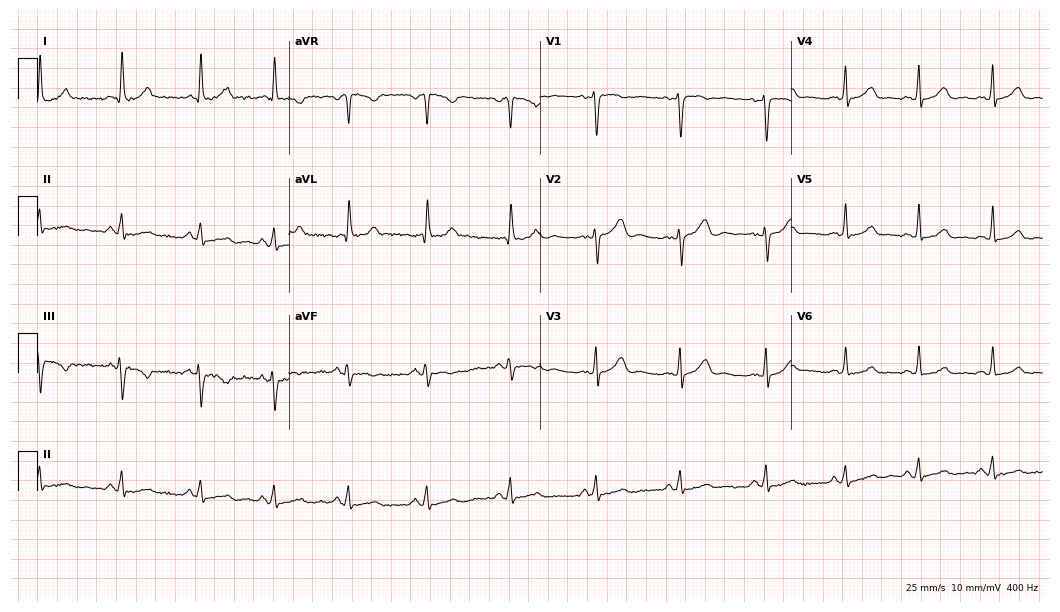
ECG — a 38-year-old female patient. Labelled as a normal ECG.